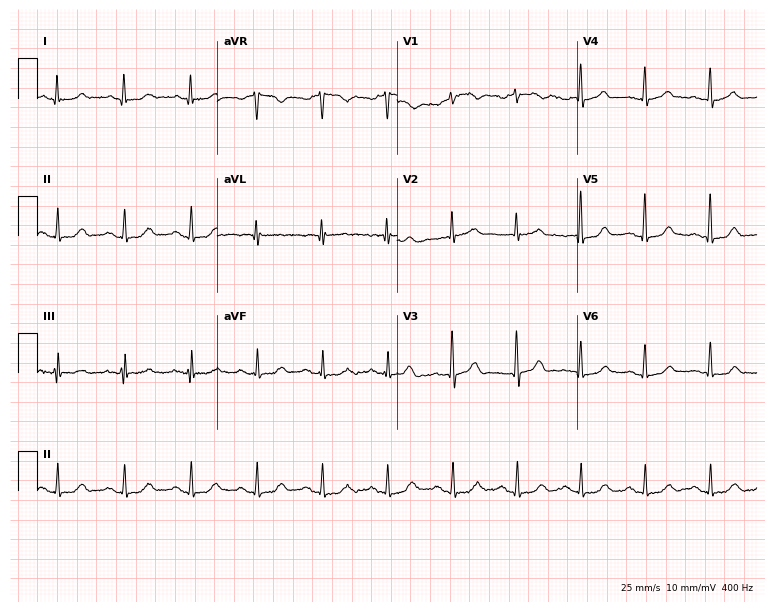
12-lead ECG (7.3-second recording at 400 Hz) from a female, 59 years old. Labelled as a normal ECG.